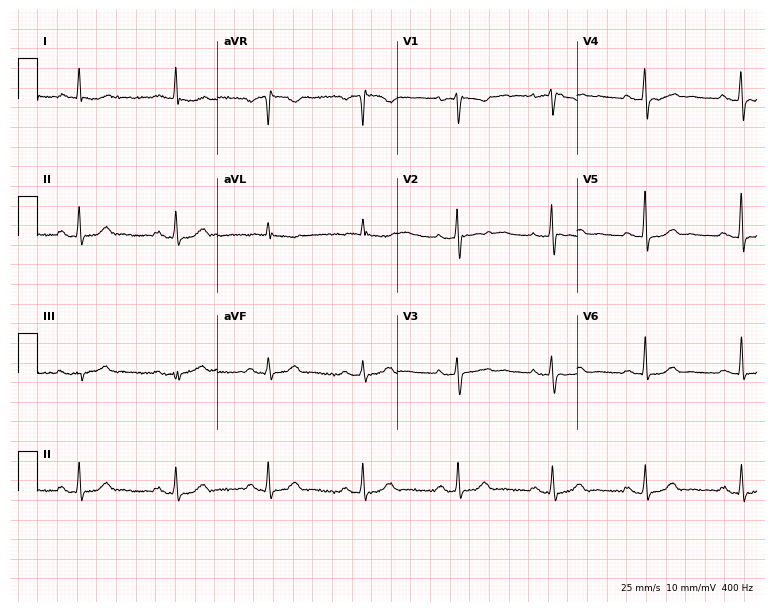
Electrocardiogram (7.3-second recording at 400 Hz), a female patient, 67 years old. Overall reading on record: normal ECG.